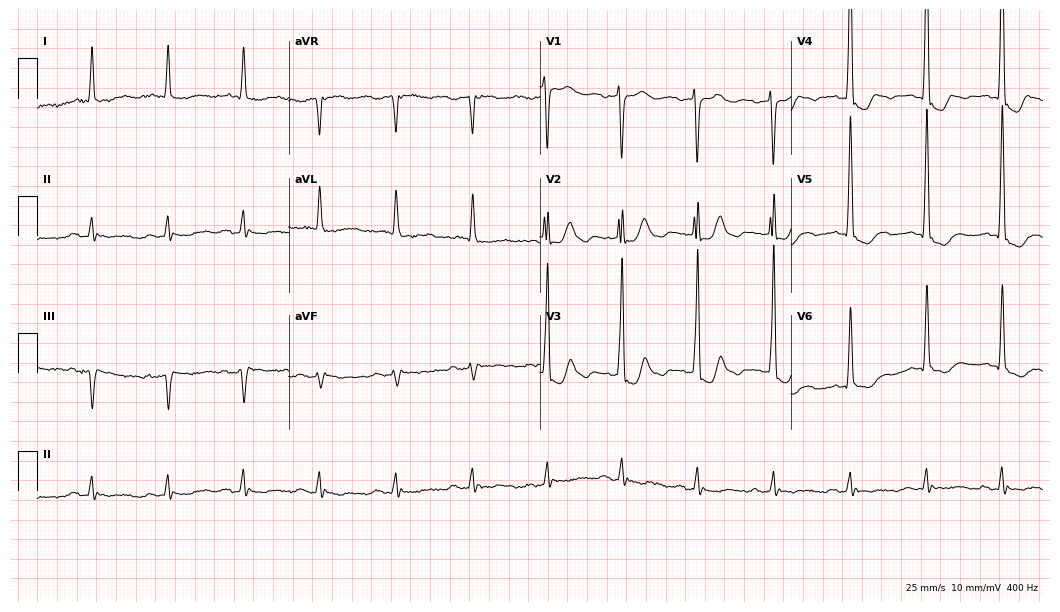
Resting 12-lead electrocardiogram (10.2-second recording at 400 Hz). Patient: a female, 77 years old. None of these six findings is recorded: first-degree AV block, right bundle branch block (RBBB), left bundle branch block (LBBB), sinus bradycardia, atrial fibrillation (AF), sinus tachycardia.